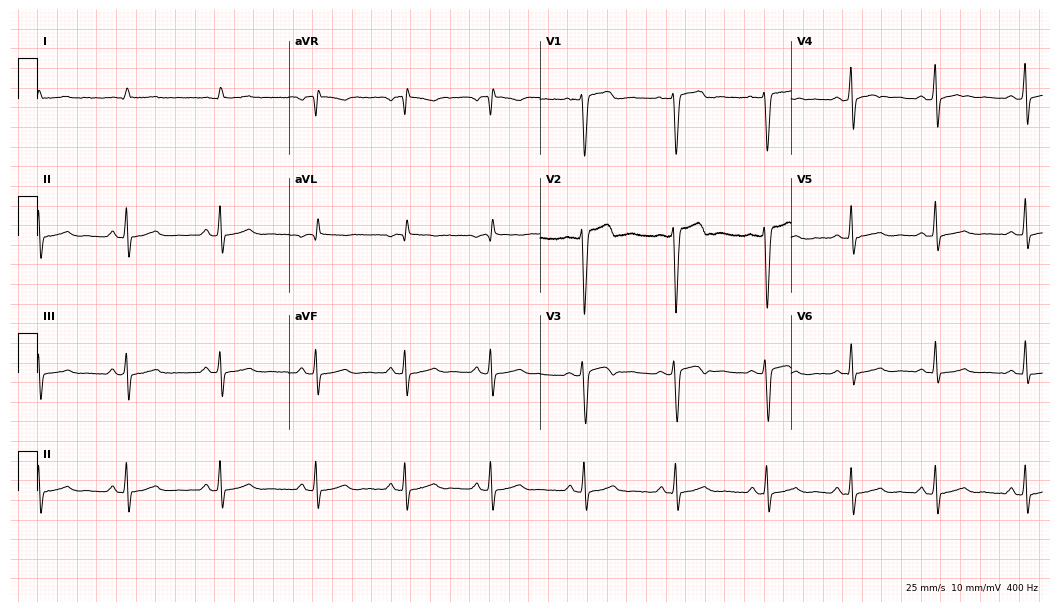
Standard 12-lead ECG recorded from a 34-year-old man. None of these six findings is recorded: first-degree AV block, right bundle branch block (RBBB), left bundle branch block (LBBB), sinus bradycardia, atrial fibrillation (AF), sinus tachycardia. Findings outside these six are not listed.